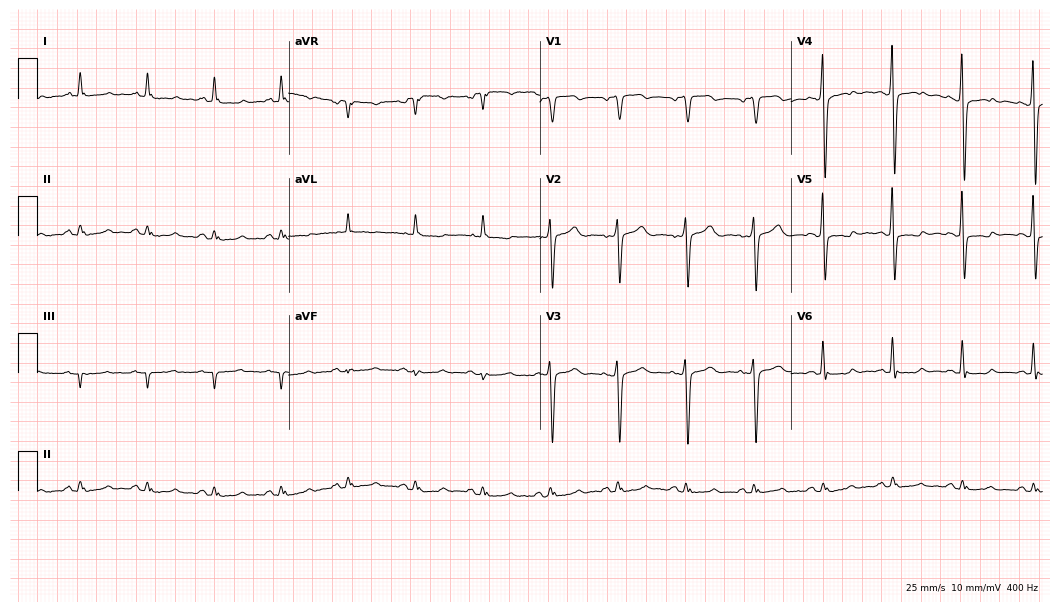
Electrocardiogram (10.2-second recording at 400 Hz), a 62-year-old man. Overall reading on record: normal ECG.